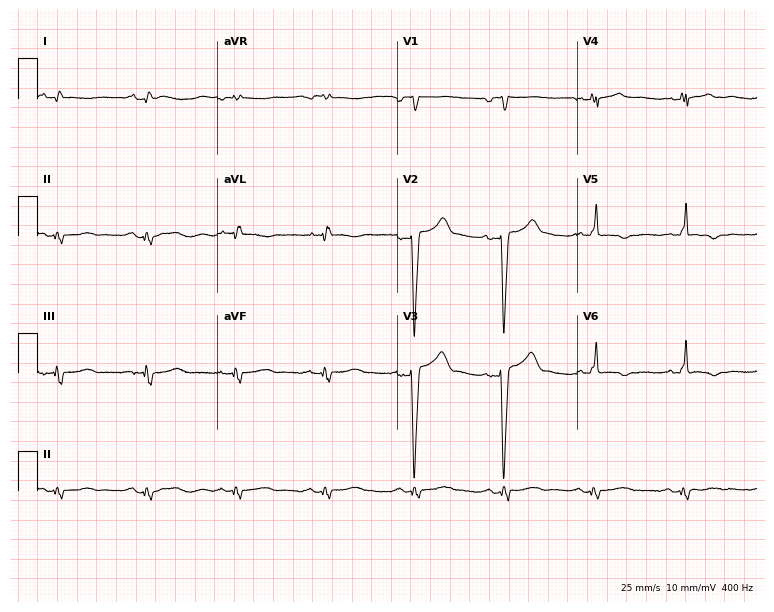
Resting 12-lead electrocardiogram. Patient: a 60-year-old man. None of these six findings is recorded: first-degree AV block, right bundle branch block (RBBB), left bundle branch block (LBBB), sinus bradycardia, atrial fibrillation (AF), sinus tachycardia.